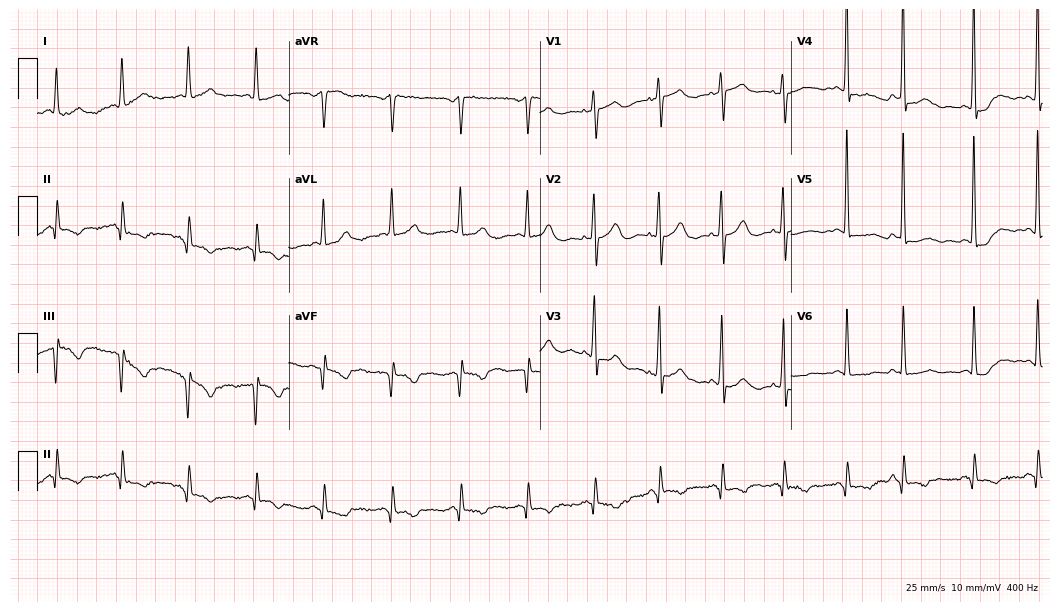
12-lead ECG from a 67-year-old female. Screened for six findings — first-degree AV block, right bundle branch block (RBBB), left bundle branch block (LBBB), sinus bradycardia, atrial fibrillation (AF), sinus tachycardia — none is recorded. Findings outside these six are not listed.